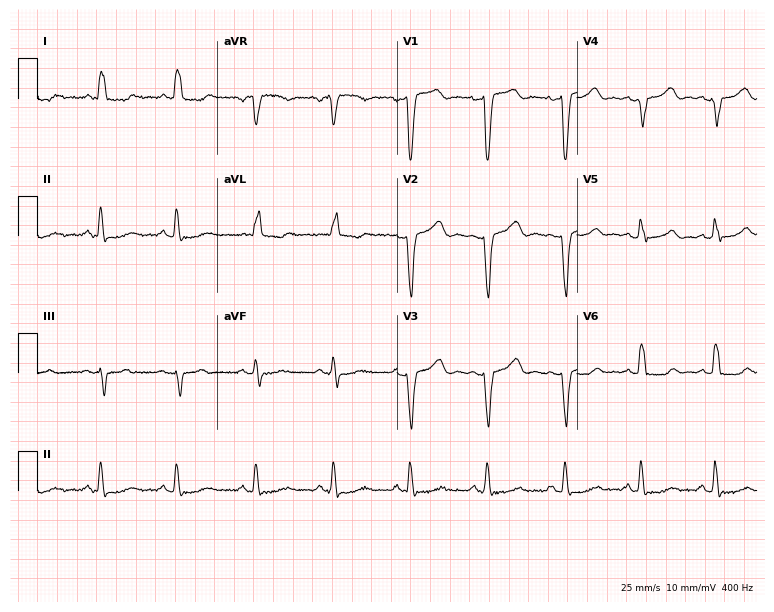
12-lead ECG from a 77-year-old female patient. Shows left bundle branch block (LBBB).